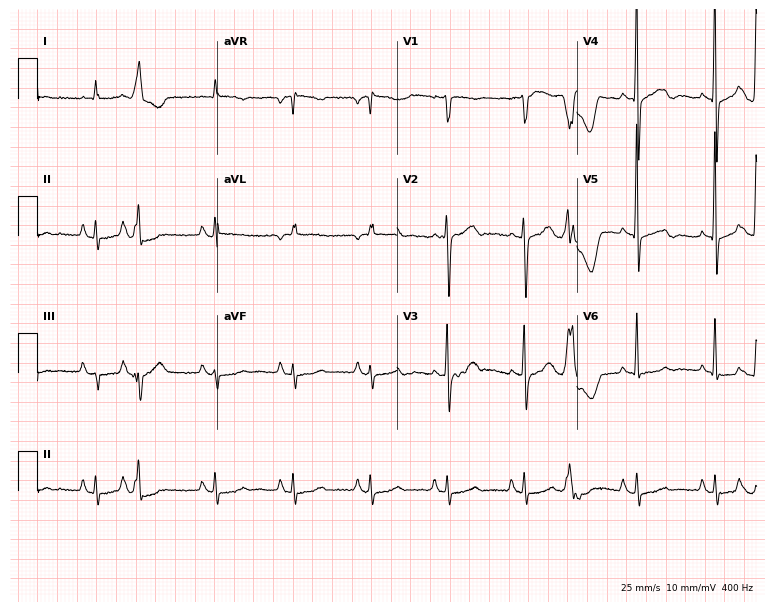
Standard 12-lead ECG recorded from a male patient, 85 years old (7.3-second recording at 400 Hz). None of these six findings is recorded: first-degree AV block, right bundle branch block (RBBB), left bundle branch block (LBBB), sinus bradycardia, atrial fibrillation (AF), sinus tachycardia. Findings outside these six are not listed.